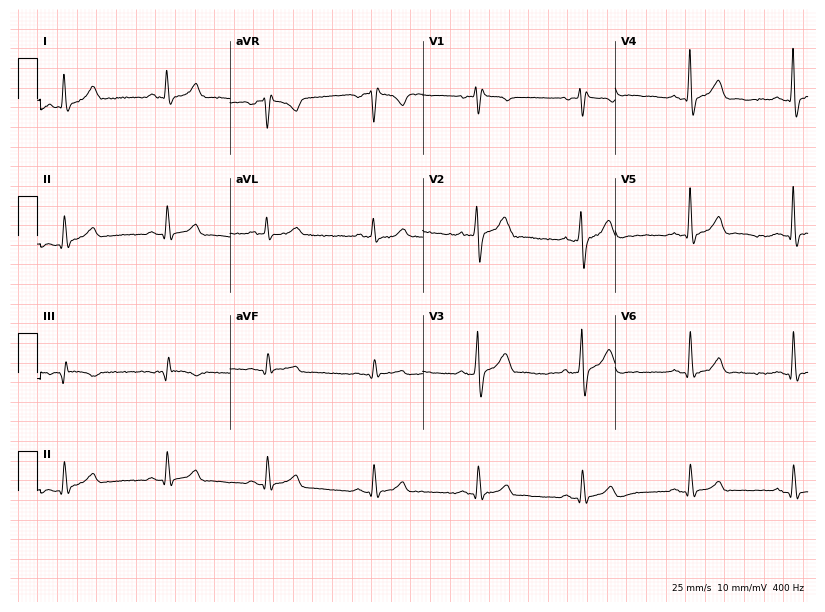
12-lead ECG from a 36-year-old male (7.9-second recording at 400 Hz). Recorded interpretation: within normal limits.